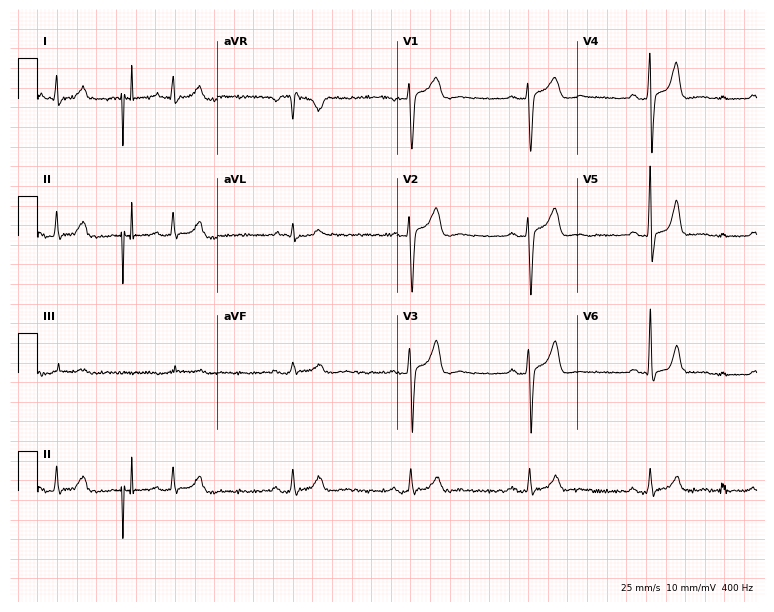
Electrocardiogram, a 61-year-old man. Interpretation includes sinus bradycardia (a sinus rate of 50 beats per minute or less).